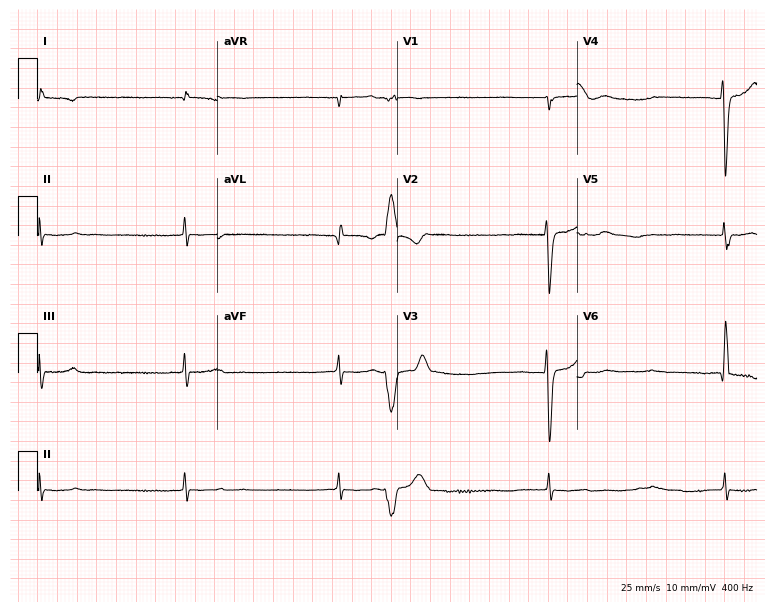
ECG — a male, 74 years old. Screened for six findings — first-degree AV block, right bundle branch block, left bundle branch block, sinus bradycardia, atrial fibrillation, sinus tachycardia — none is recorded.